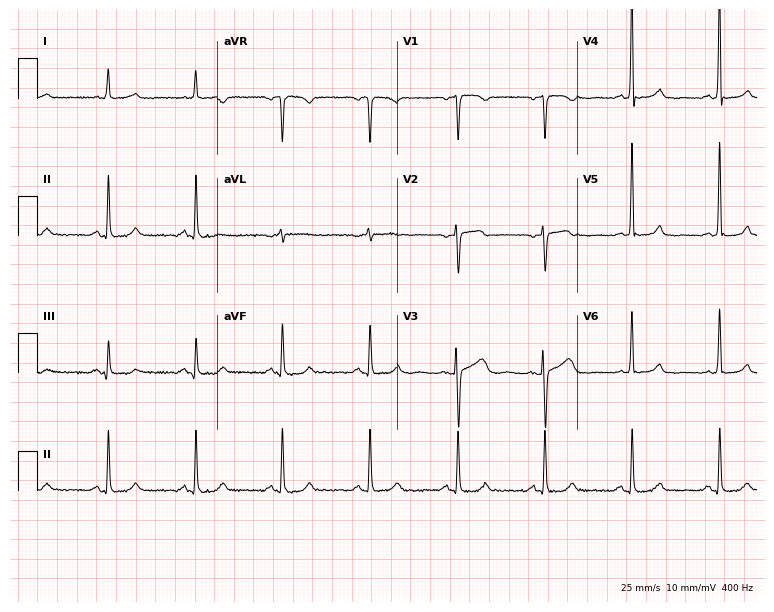
Electrocardiogram, a 71-year-old woman. Of the six screened findings (first-degree AV block, right bundle branch block, left bundle branch block, sinus bradycardia, atrial fibrillation, sinus tachycardia), none is recorded.